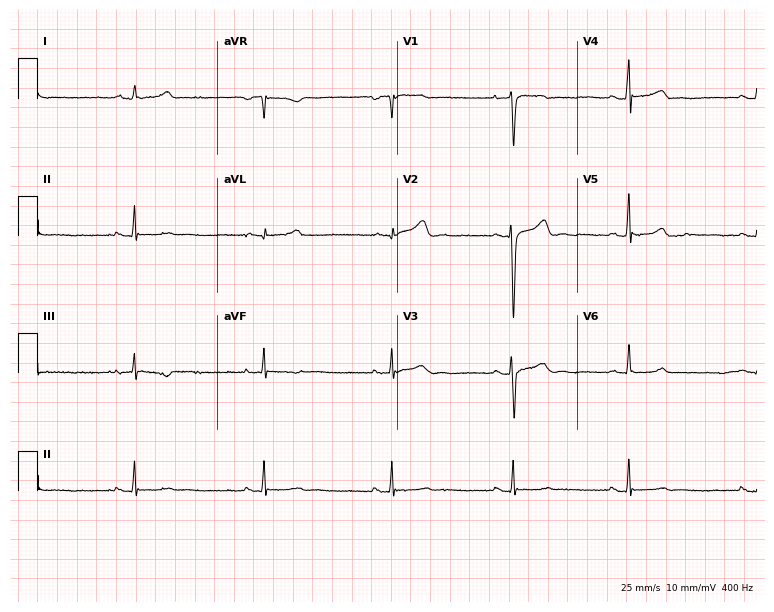
12-lead ECG from a male, 29 years old. No first-degree AV block, right bundle branch block (RBBB), left bundle branch block (LBBB), sinus bradycardia, atrial fibrillation (AF) or sinus tachycardia recorded for this tracing.